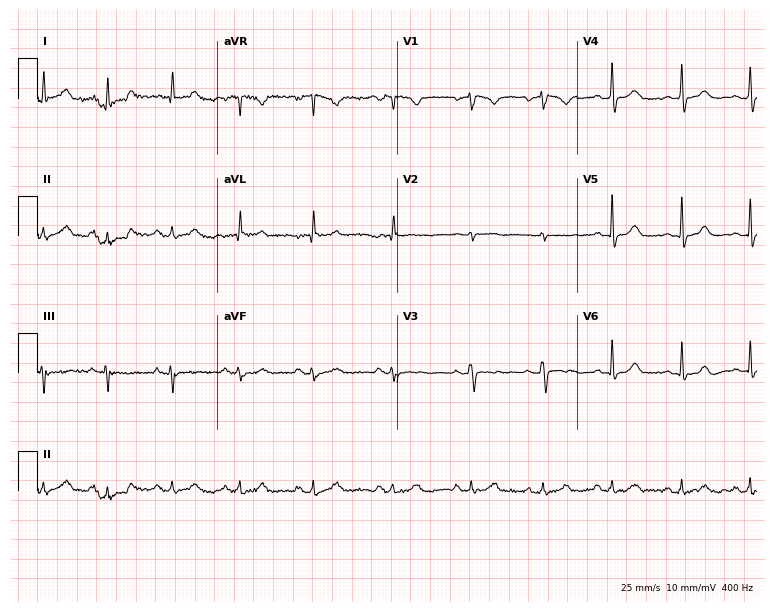
ECG — a 44-year-old woman. Labelled as a normal ECG.